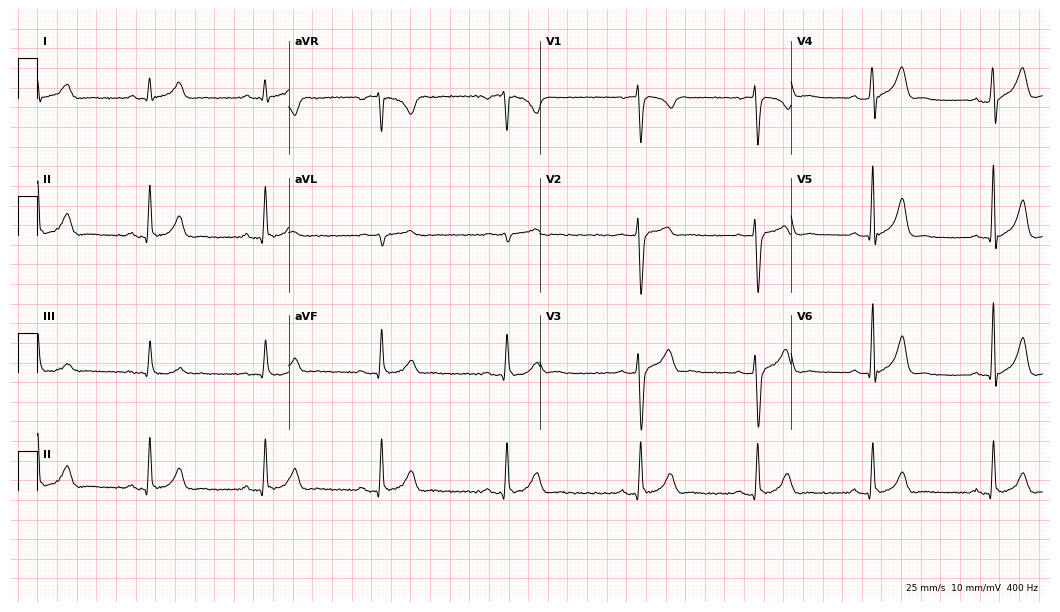
Standard 12-lead ECG recorded from a 55-year-old male patient (10.2-second recording at 400 Hz). None of these six findings is recorded: first-degree AV block, right bundle branch block (RBBB), left bundle branch block (LBBB), sinus bradycardia, atrial fibrillation (AF), sinus tachycardia. Only these six findings were labelled.